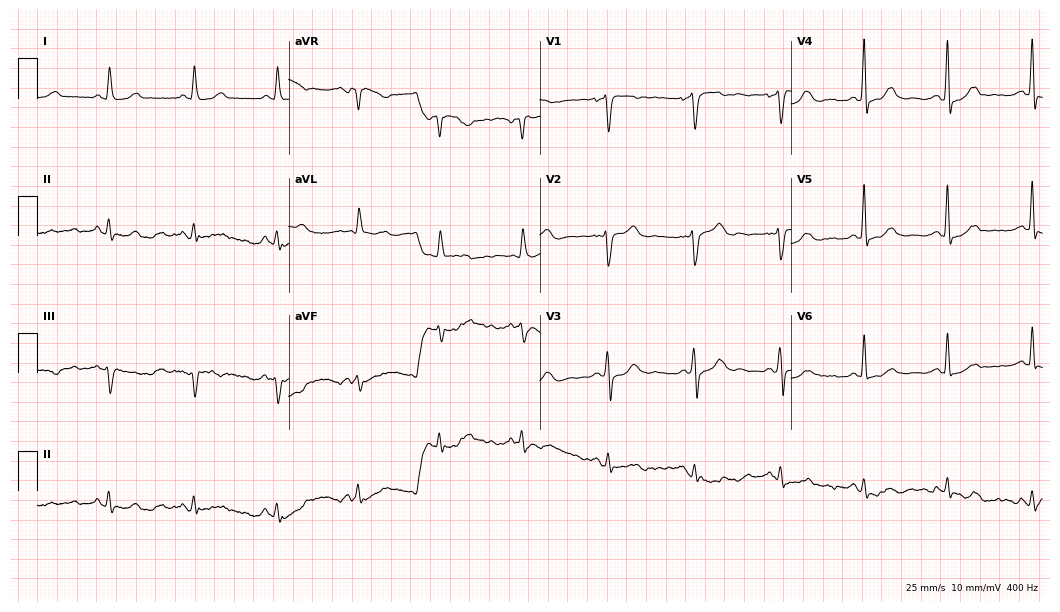
Resting 12-lead electrocardiogram (10.2-second recording at 400 Hz). Patient: a woman, 56 years old. None of these six findings is recorded: first-degree AV block, right bundle branch block, left bundle branch block, sinus bradycardia, atrial fibrillation, sinus tachycardia.